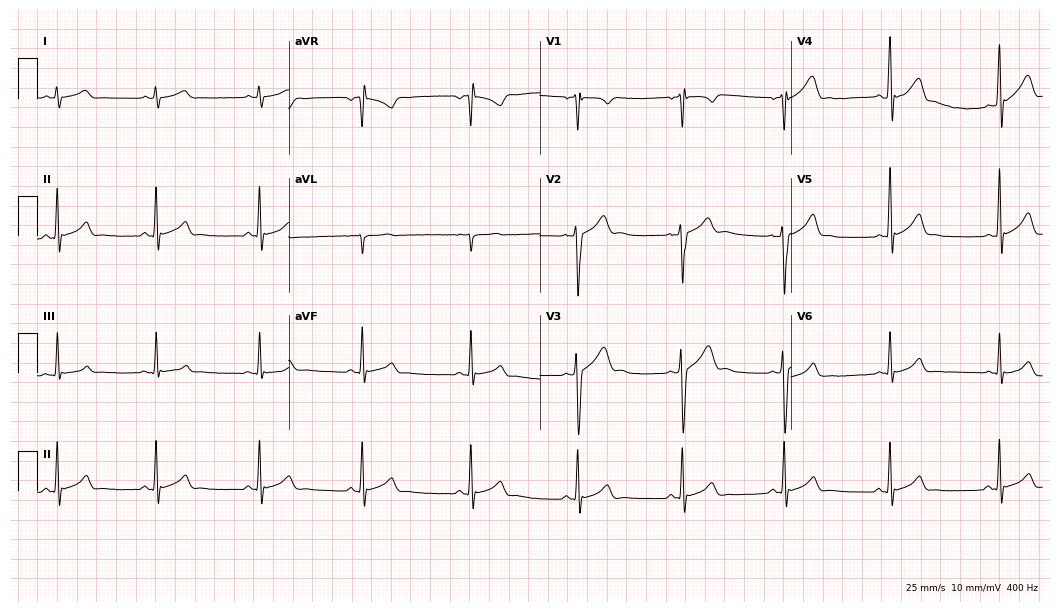
ECG — a 17-year-old male. Labelled as a normal ECG.